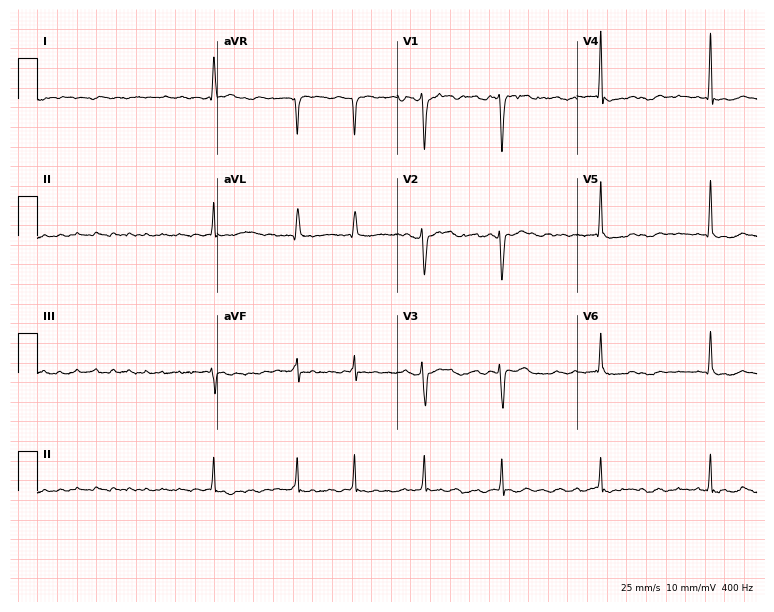
Resting 12-lead electrocardiogram. Patient: a female, 71 years old. The tracing shows atrial fibrillation.